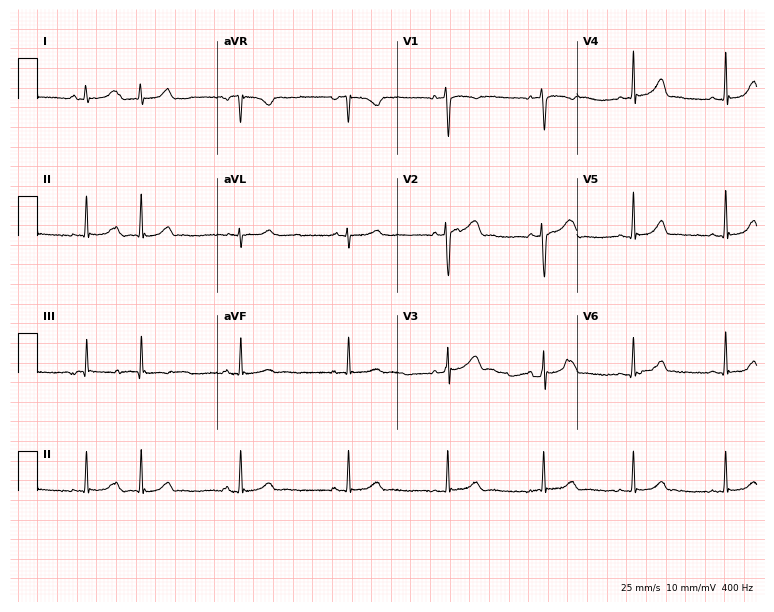
Standard 12-lead ECG recorded from a 17-year-old female patient (7.3-second recording at 400 Hz). None of these six findings is recorded: first-degree AV block, right bundle branch block, left bundle branch block, sinus bradycardia, atrial fibrillation, sinus tachycardia.